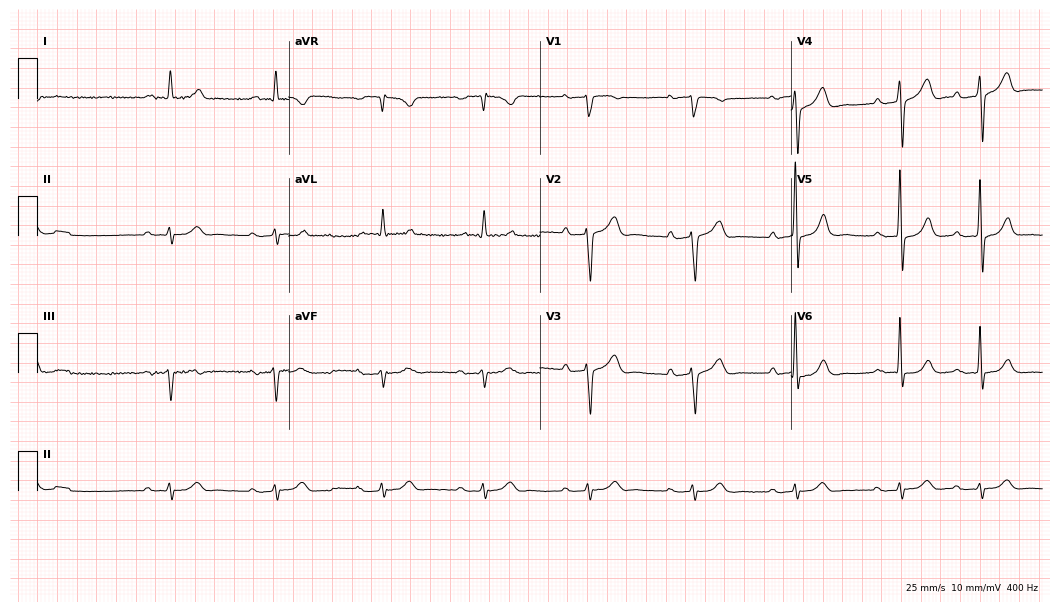
ECG (10.2-second recording at 400 Hz) — a man, 79 years old. Screened for six findings — first-degree AV block, right bundle branch block (RBBB), left bundle branch block (LBBB), sinus bradycardia, atrial fibrillation (AF), sinus tachycardia — none is recorded. Only these six findings were labelled.